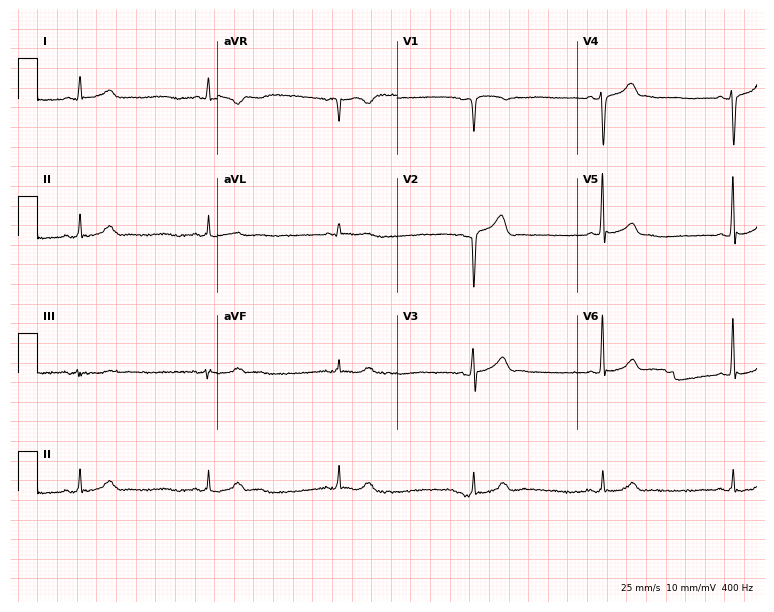
12-lead ECG (7.3-second recording at 400 Hz) from a 40-year-old male patient. Findings include sinus bradycardia (a sinus rate of 50 beats per minute or less).